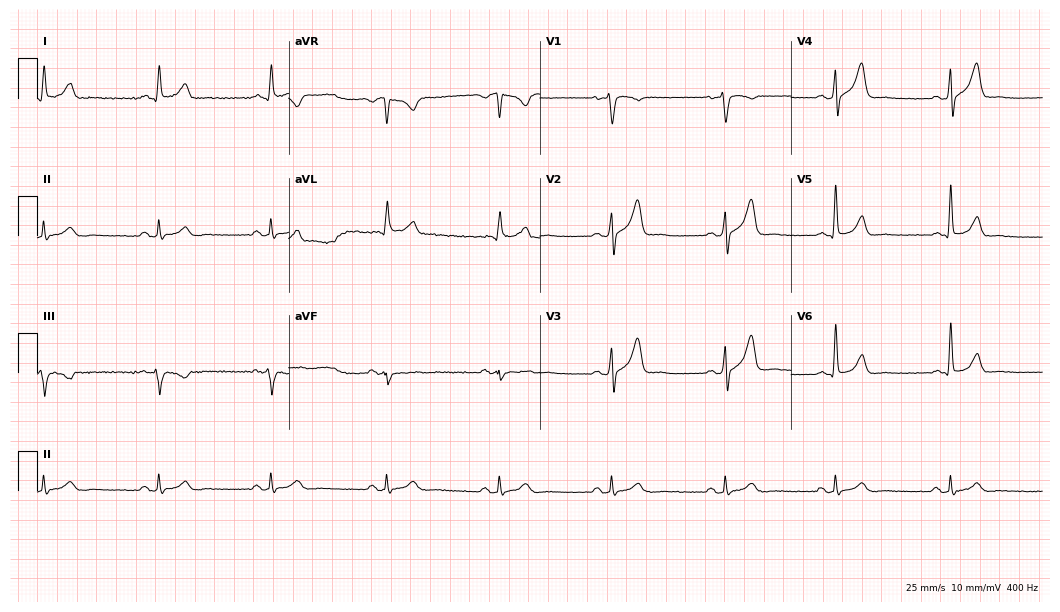
12-lead ECG from a male, 51 years old (10.2-second recording at 400 Hz). Recorded interpretation: within normal limits.